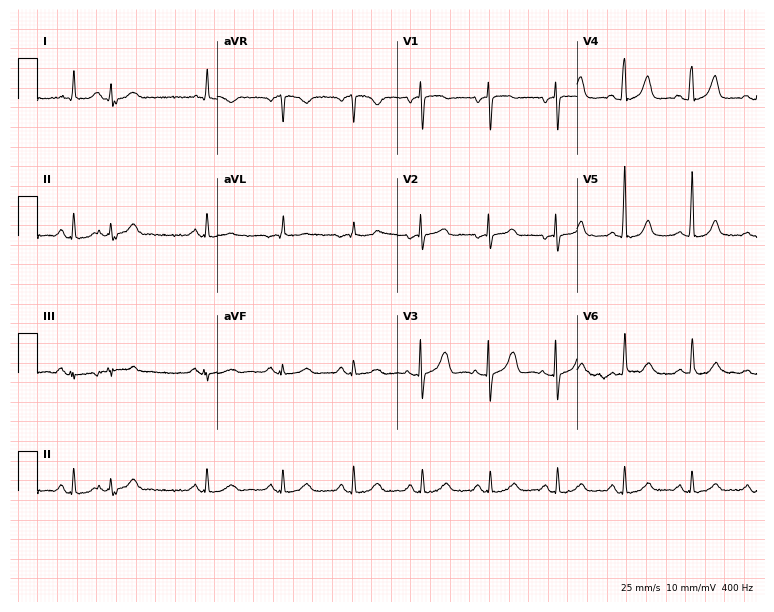
Electrocardiogram (7.3-second recording at 400 Hz), an 86-year-old female. Of the six screened findings (first-degree AV block, right bundle branch block, left bundle branch block, sinus bradycardia, atrial fibrillation, sinus tachycardia), none is recorded. Only these six findings were labelled.